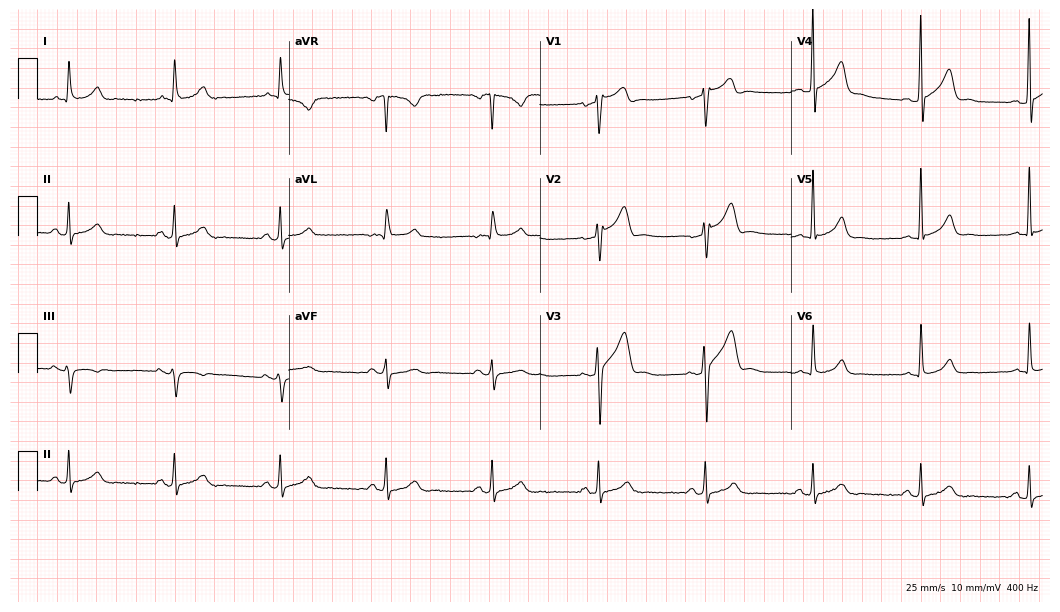
Electrocardiogram, a 60-year-old woman. Overall reading on record: normal ECG.